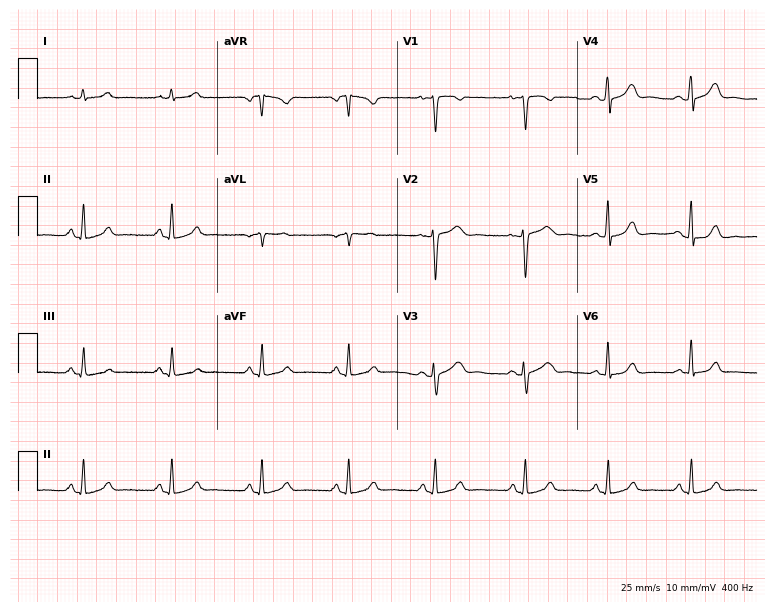
12-lead ECG from a 49-year-old woman (7.3-second recording at 400 Hz). Recorded interpretation: within normal limits.